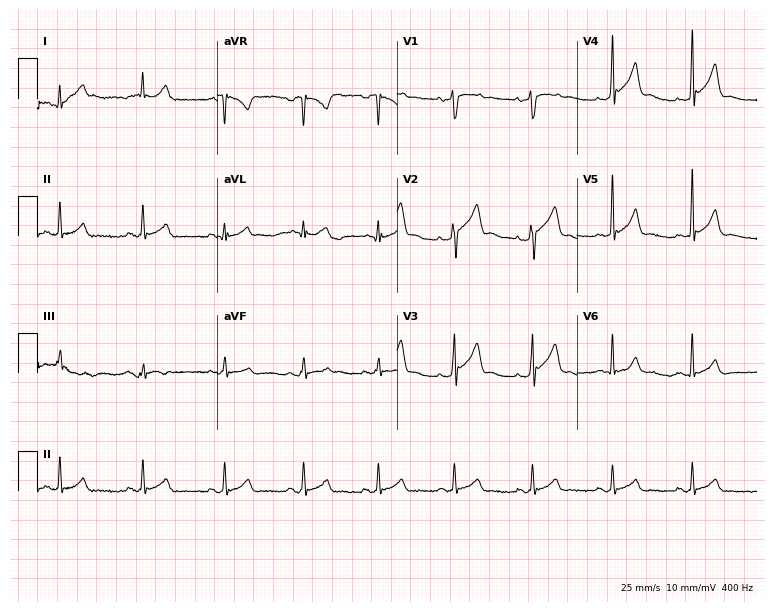
12-lead ECG from a 42-year-old male patient. Screened for six findings — first-degree AV block, right bundle branch block, left bundle branch block, sinus bradycardia, atrial fibrillation, sinus tachycardia — none is recorded. Findings outside these six are not listed.